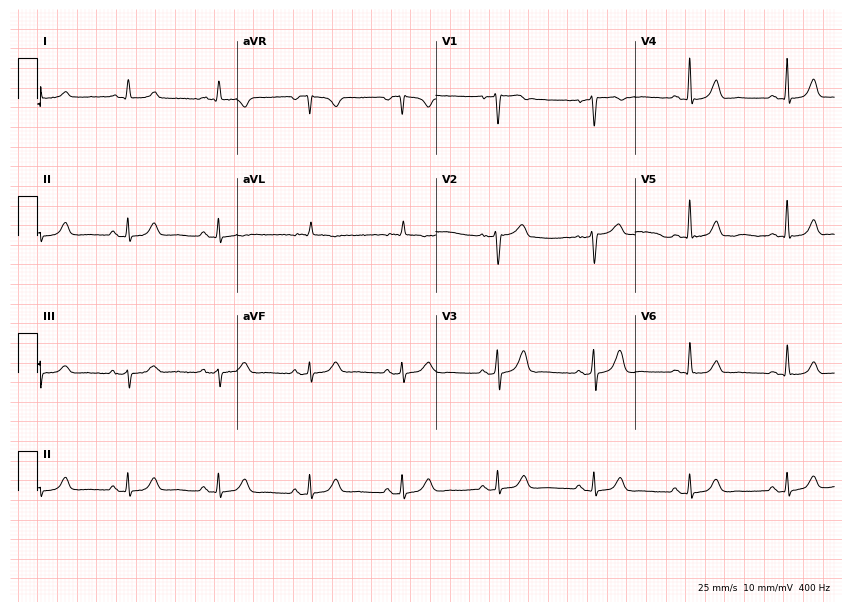
Standard 12-lead ECG recorded from a 56-year-old woman (8.1-second recording at 400 Hz). Read as a normal ECG.